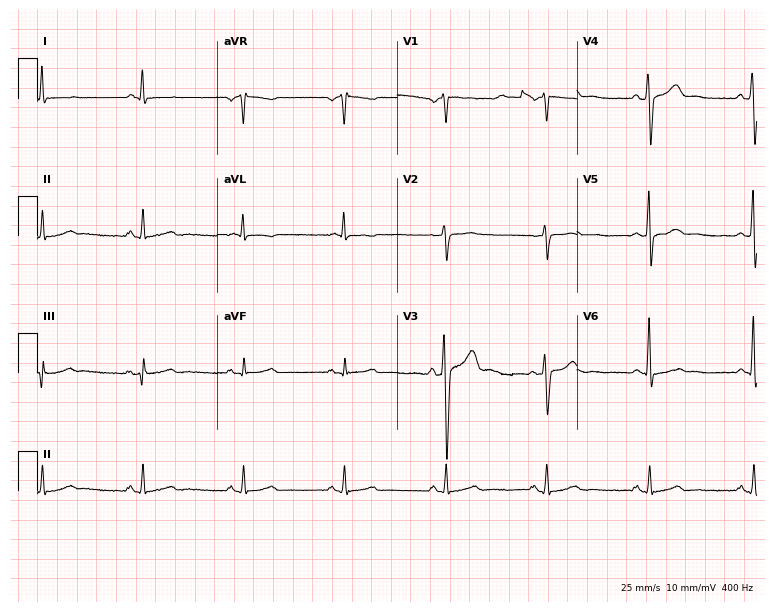
Standard 12-lead ECG recorded from a male patient, 64 years old. Read as a normal ECG.